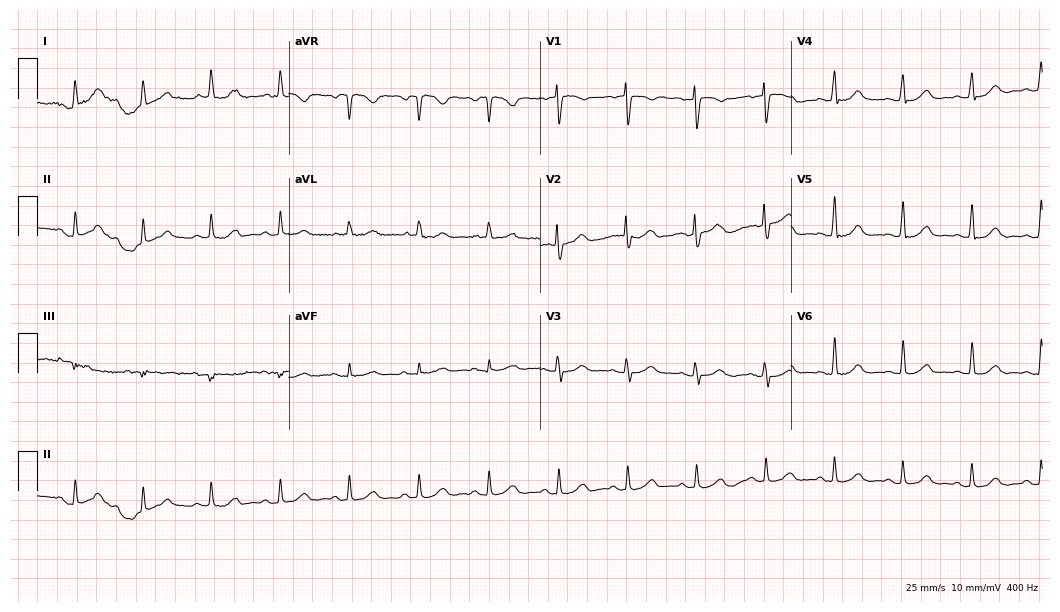
ECG (10.2-second recording at 400 Hz) — a 59-year-old woman. Screened for six findings — first-degree AV block, right bundle branch block, left bundle branch block, sinus bradycardia, atrial fibrillation, sinus tachycardia — none is recorded.